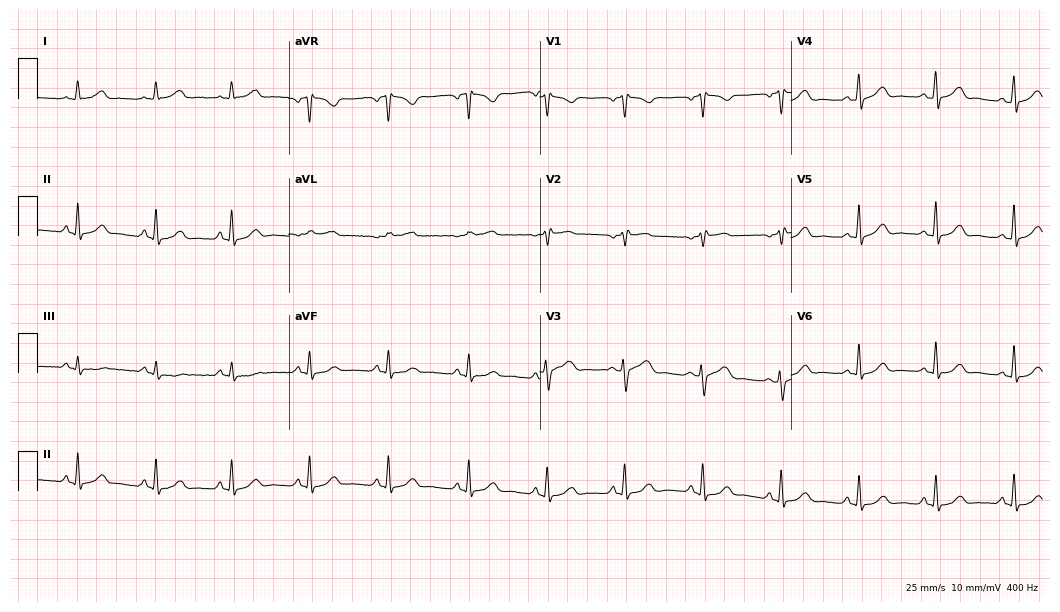
12-lead ECG from a woman, 43 years old. Recorded interpretation: within normal limits.